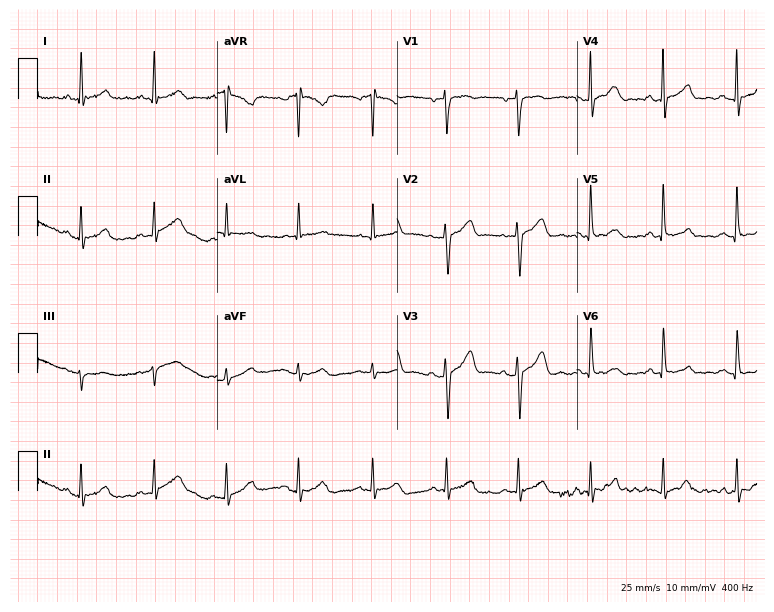
ECG (7.3-second recording at 400 Hz) — a male patient, 77 years old. Labelled as a normal ECG.